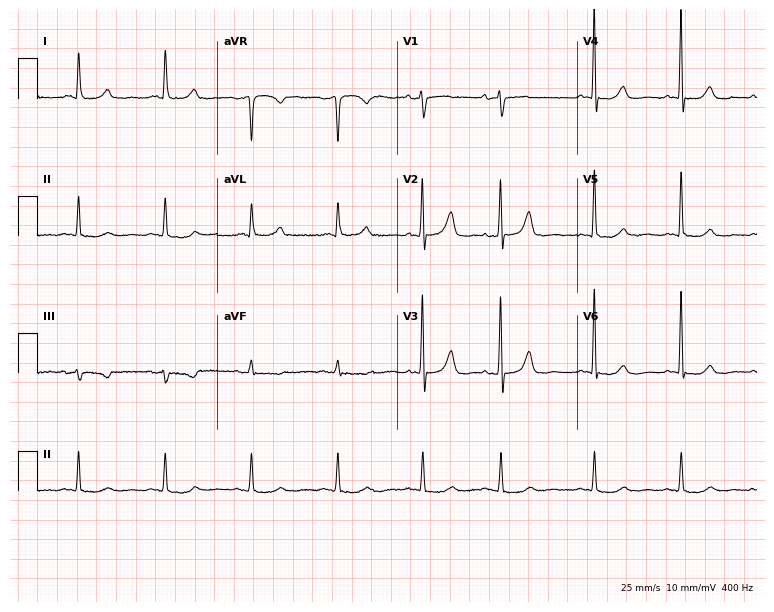
ECG — a female, 80 years old. Labelled as a normal ECG.